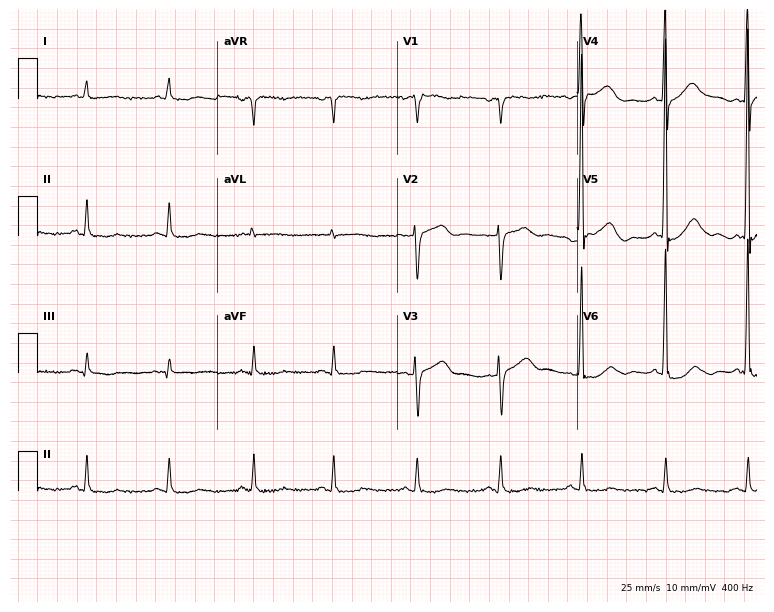
Standard 12-lead ECG recorded from a 71-year-old man. Read as a normal ECG.